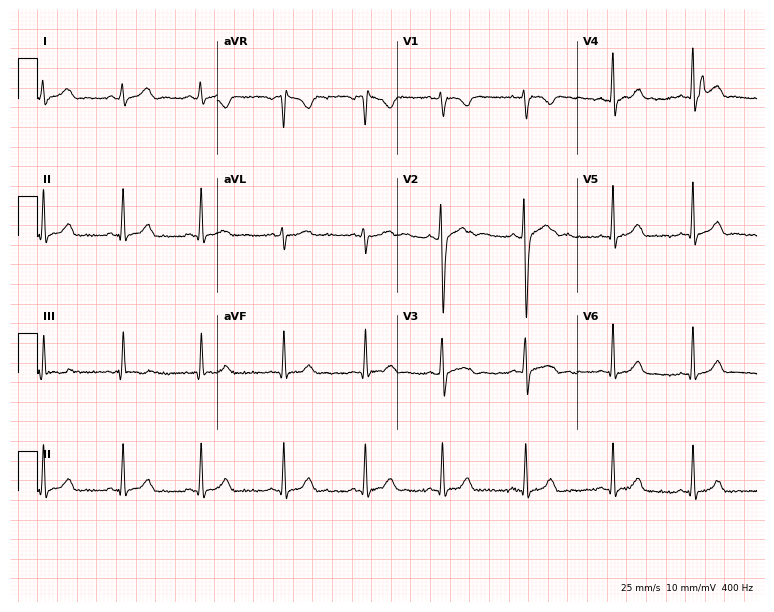
Standard 12-lead ECG recorded from a 21-year-old female (7.3-second recording at 400 Hz). Read as a normal ECG.